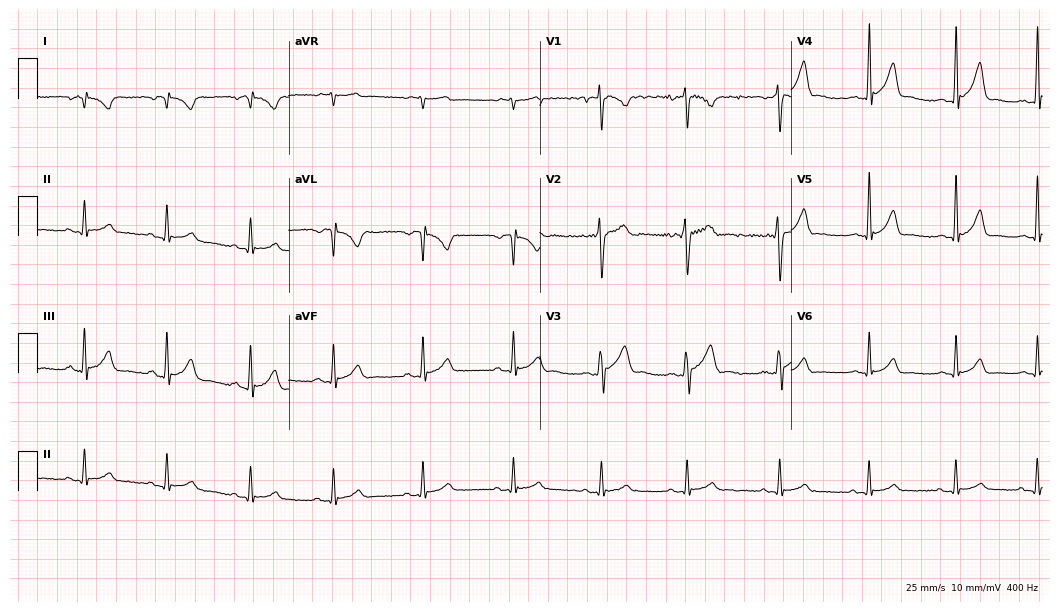
Resting 12-lead electrocardiogram. Patient: a 24-year-old man. None of these six findings is recorded: first-degree AV block, right bundle branch block, left bundle branch block, sinus bradycardia, atrial fibrillation, sinus tachycardia. Other findings, if any, are not listed.